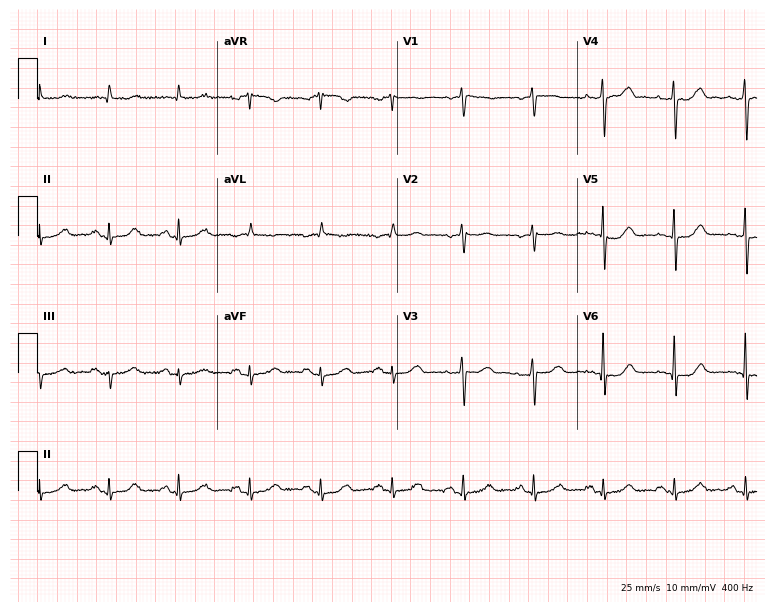
Electrocardiogram, a male, 73 years old. Overall reading on record: normal ECG.